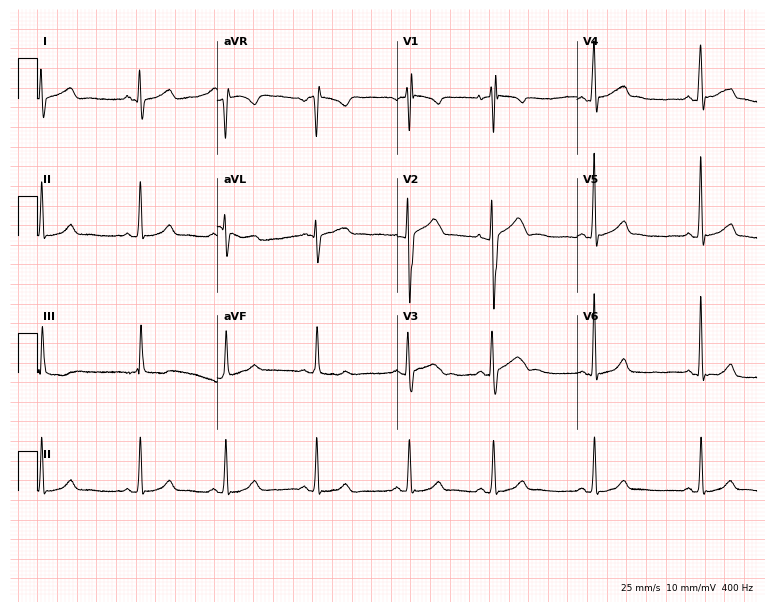
12-lead ECG from a male, 27 years old. No first-degree AV block, right bundle branch block, left bundle branch block, sinus bradycardia, atrial fibrillation or sinus tachycardia recorded for this tracing.